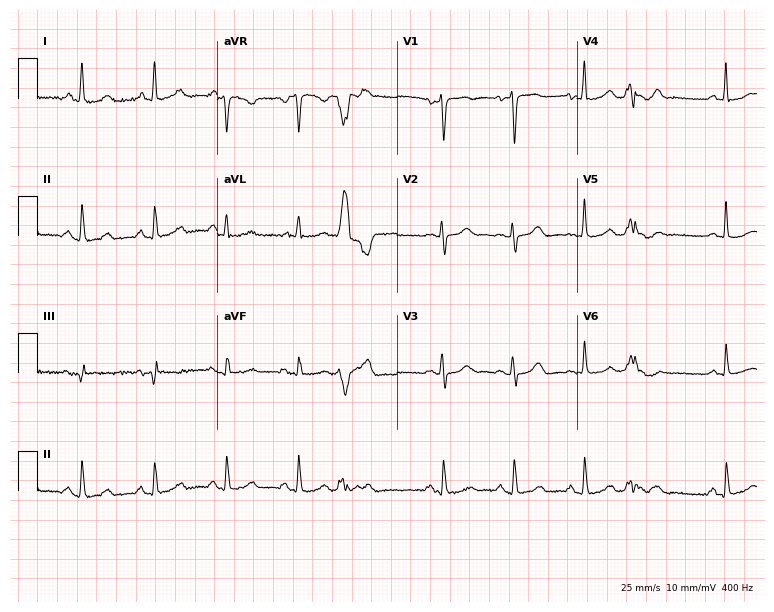
12-lead ECG from a 50-year-old female (7.3-second recording at 400 Hz). No first-degree AV block, right bundle branch block, left bundle branch block, sinus bradycardia, atrial fibrillation or sinus tachycardia recorded for this tracing.